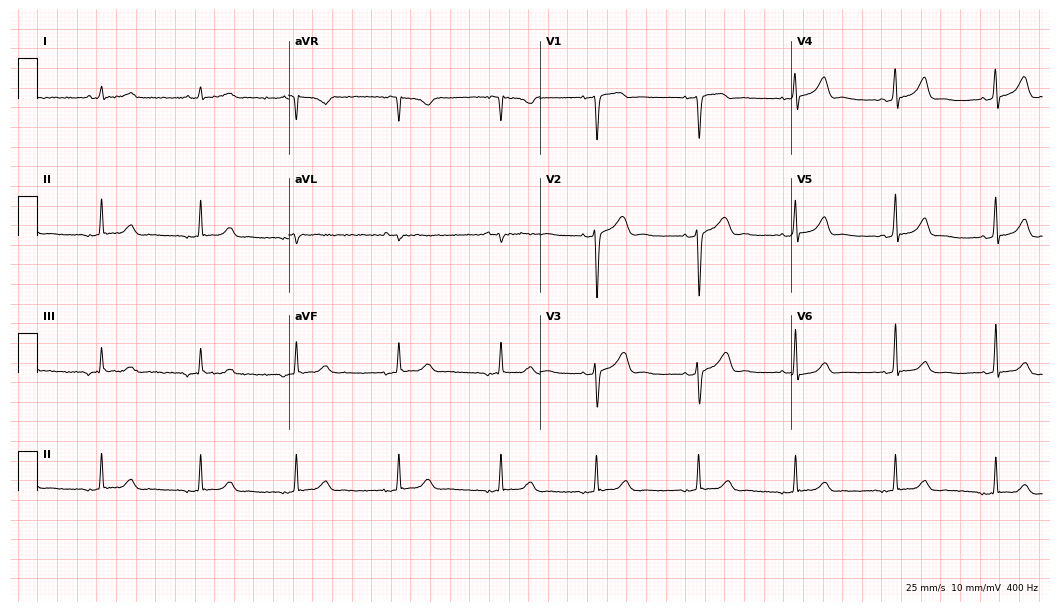
Electrocardiogram, a 66-year-old female. Overall reading on record: normal ECG.